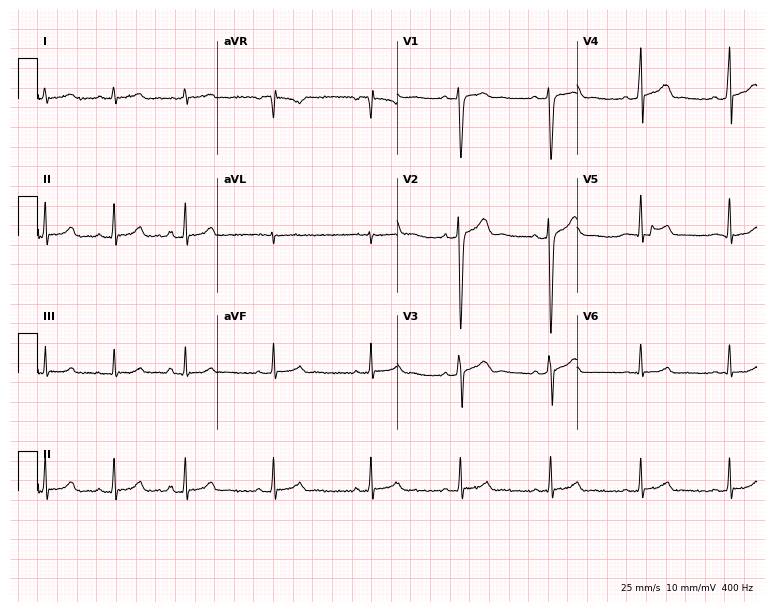
Resting 12-lead electrocardiogram. Patient: a male, 17 years old. None of these six findings is recorded: first-degree AV block, right bundle branch block, left bundle branch block, sinus bradycardia, atrial fibrillation, sinus tachycardia. Other findings, if any, are not listed.